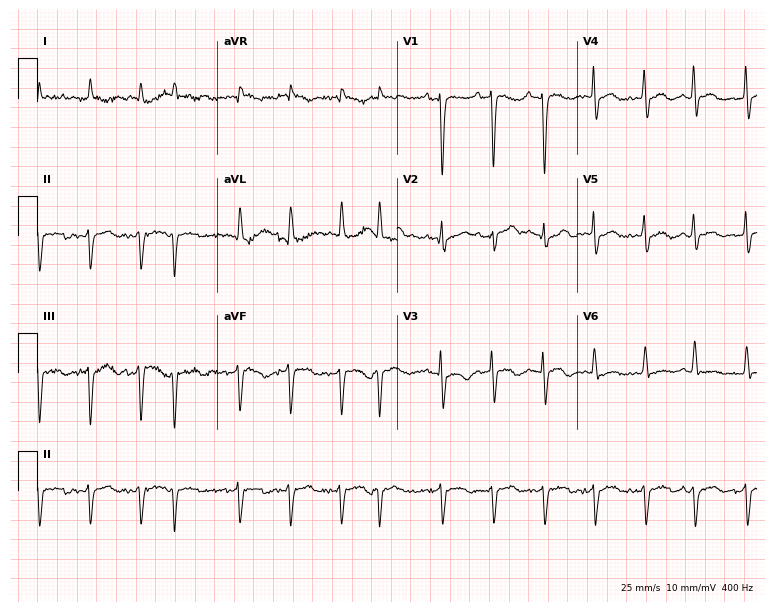
Resting 12-lead electrocardiogram (7.3-second recording at 400 Hz). Patient: an 83-year-old man. The tracing shows sinus tachycardia (a sinus rate of 100 beats per minute or more).